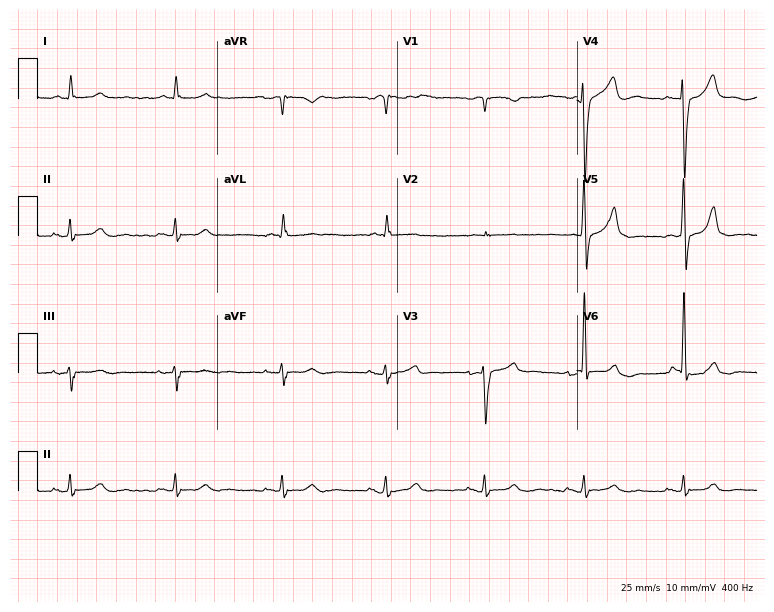
12-lead ECG from a male patient, 64 years old. Labelled as a normal ECG.